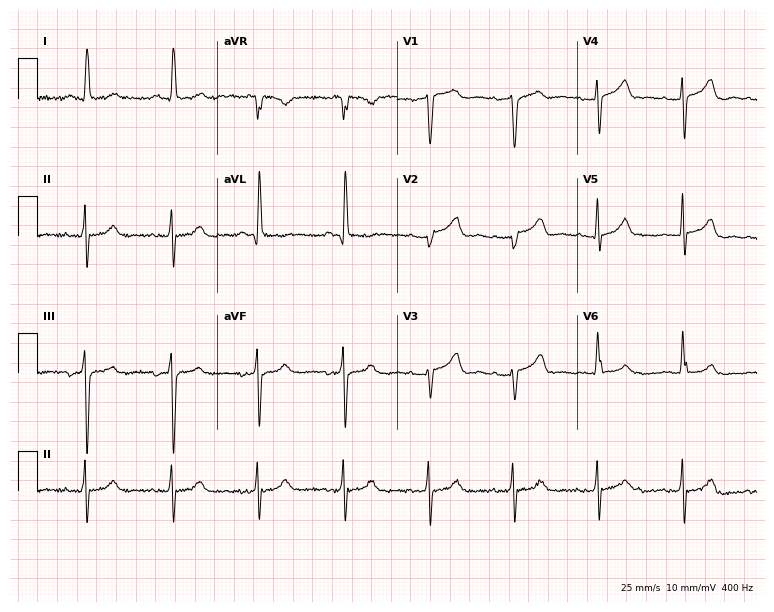
12-lead ECG from a 74-year-old woman (7.3-second recording at 400 Hz). No first-degree AV block, right bundle branch block, left bundle branch block, sinus bradycardia, atrial fibrillation or sinus tachycardia recorded for this tracing. Other findings, if any, are not listed.